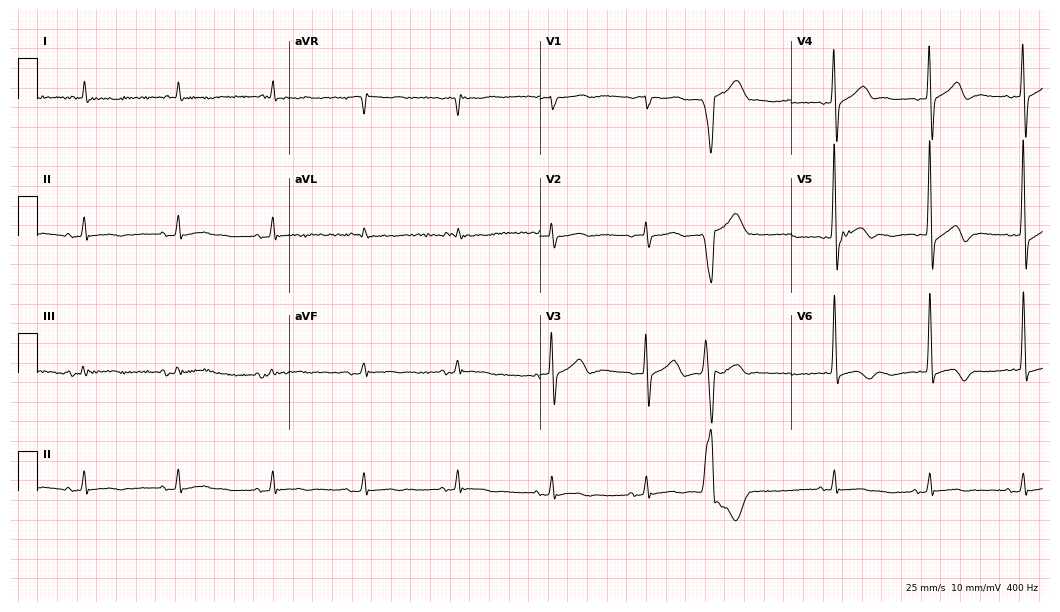
ECG (10.2-second recording at 400 Hz) — an 83-year-old male patient. Screened for six findings — first-degree AV block, right bundle branch block (RBBB), left bundle branch block (LBBB), sinus bradycardia, atrial fibrillation (AF), sinus tachycardia — none is recorded.